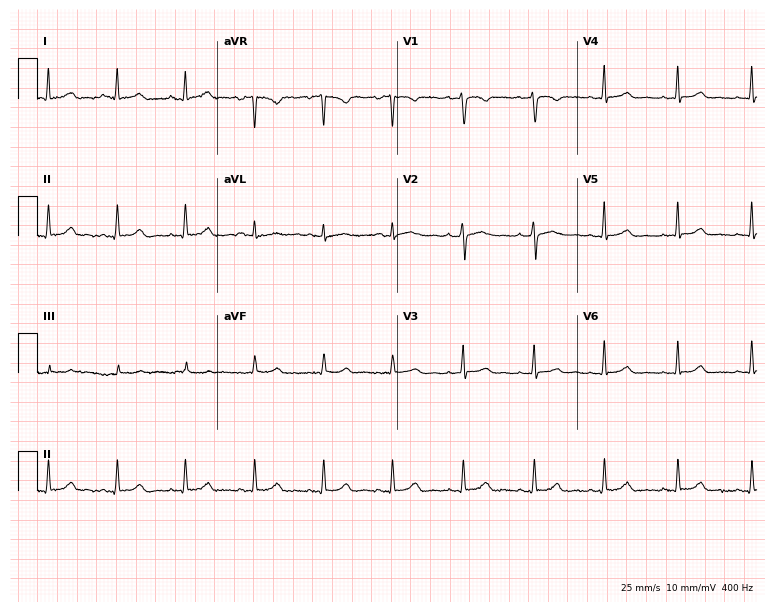
ECG — a 39-year-old woman. Labelled as a normal ECG.